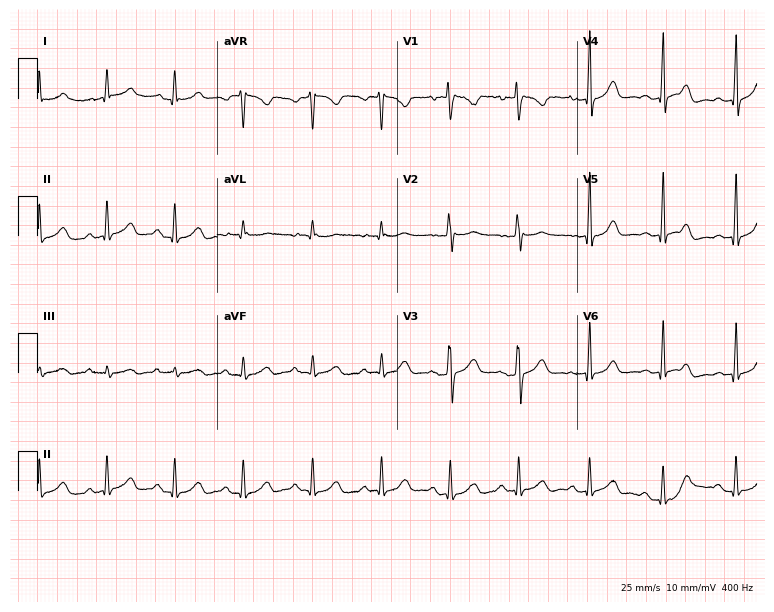
Resting 12-lead electrocardiogram. Patient: a 31-year-old female. Read as a normal ECG.